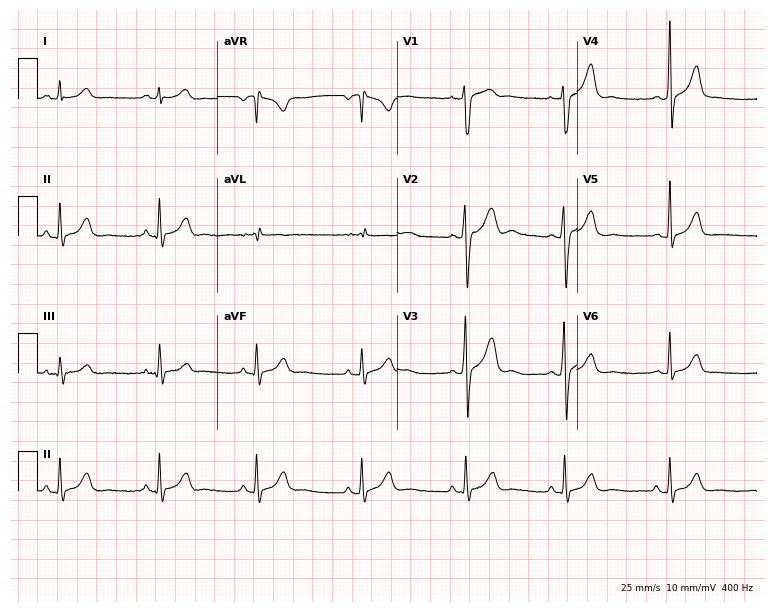
ECG — a male, 29 years old. Labelled as a normal ECG.